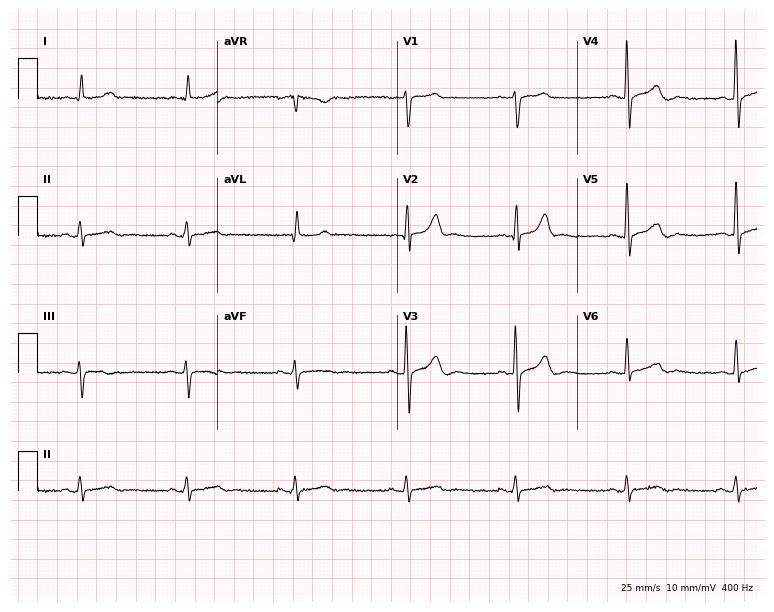
ECG (7.3-second recording at 400 Hz) — a 72-year-old male patient. Screened for six findings — first-degree AV block, right bundle branch block, left bundle branch block, sinus bradycardia, atrial fibrillation, sinus tachycardia — none is recorded. Findings outside these six are not listed.